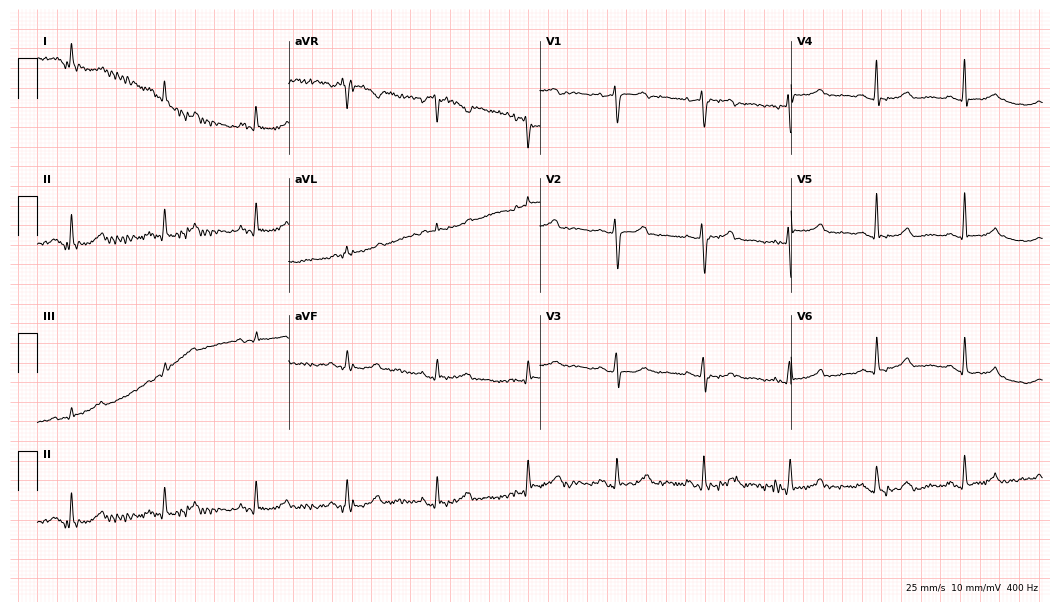
Electrocardiogram (10.2-second recording at 400 Hz), a woman, 72 years old. Of the six screened findings (first-degree AV block, right bundle branch block, left bundle branch block, sinus bradycardia, atrial fibrillation, sinus tachycardia), none is recorded. Other findings, if any, are not listed.